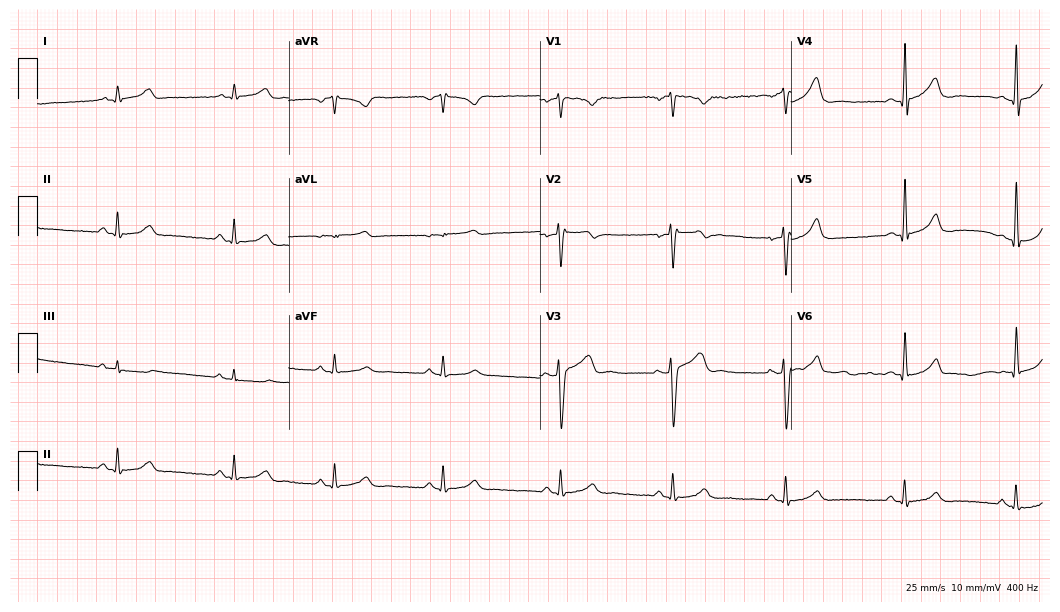
Standard 12-lead ECG recorded from a male patient, 52 years old. None of these six findings is recorded: first-degree AV block, right bundle branch block, left bundle branch block, sinus bradycardia, atrial fibrillation, sinus tachycardia.